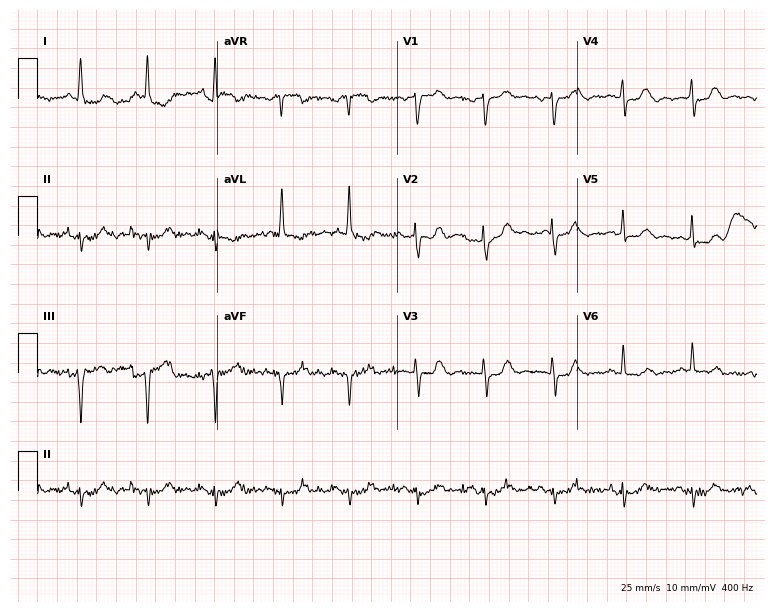
ECG (7.3-second recording at 400 Hz) — a woman, 81 years old. Screened for six findings — first-degree AV block, right bundle branch block, left bundle branch block, sinus bradycardia, atrial fibrillation, sinus tachycardia — none is recorded.